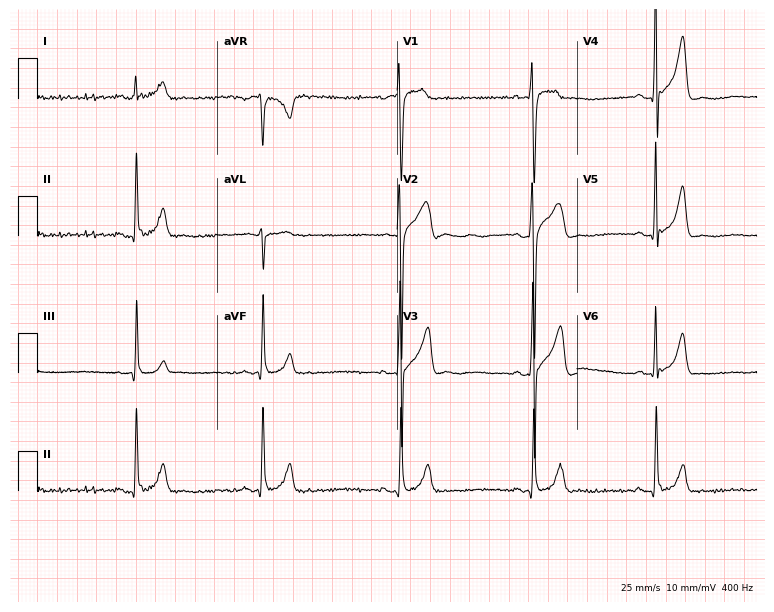
12-lead ECG (7.3-second recording at 400 Hz) from a man, 25 years old. Findings include sinus bradycardia (a sinus rate of 50 beats per minute or less).